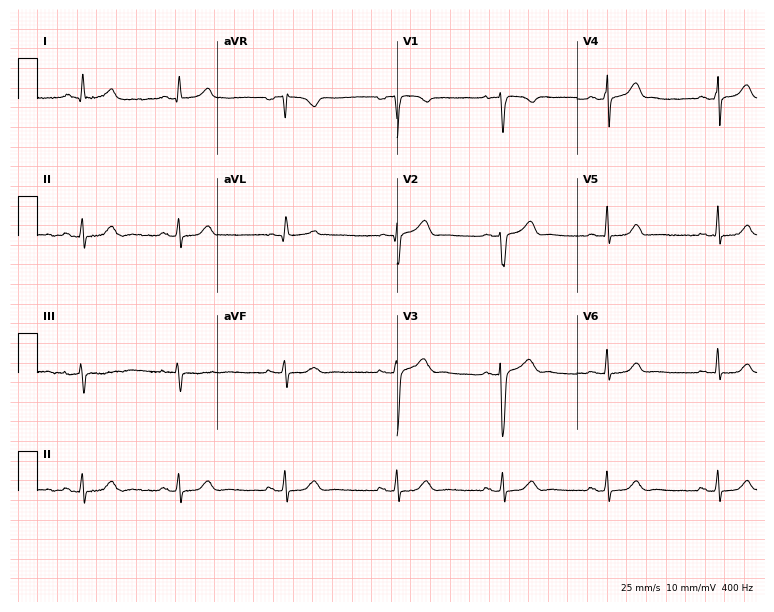
12-lead ECG from a female patient, 28 years old. Recorded interpretation: within normal limits.